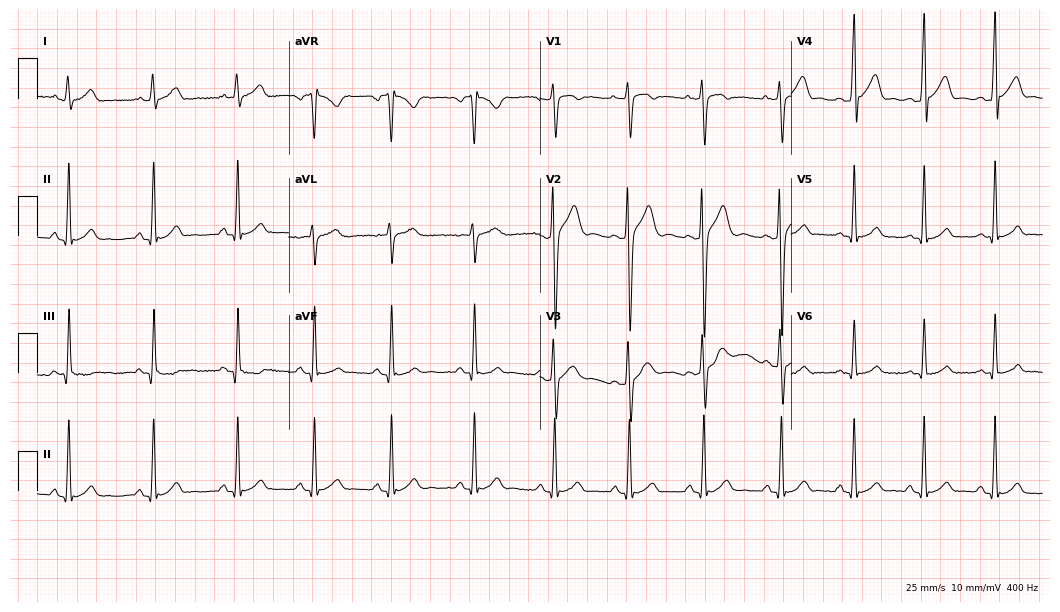
12-lead ECG from a male patient, 17 years old (10.2-second recording at 400 Hz). No first-degree AV block, right bundle branch block, left bundle branch block, sinus bradycardia, atrial fibrillation or sinus tachycardia recorded for this tracing.